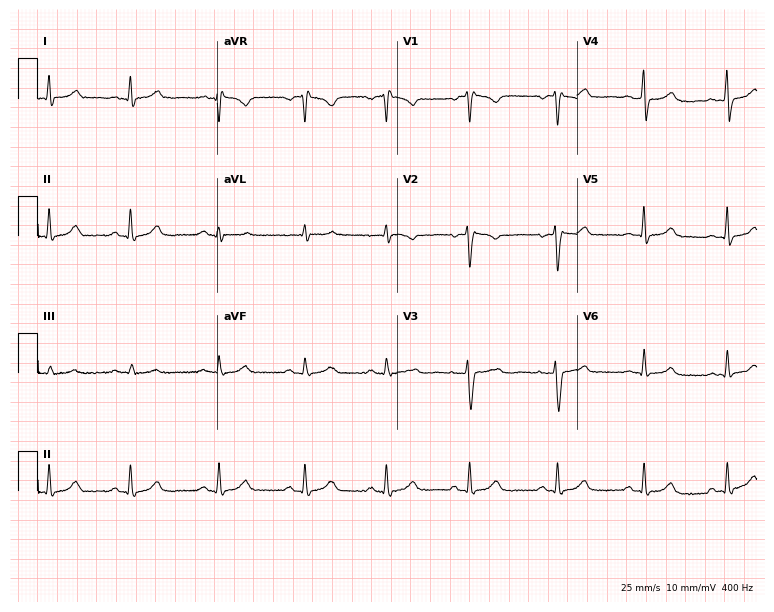
Electrocardiogram, a female patient, 47 years old. Overall reading on record: normal ECG.